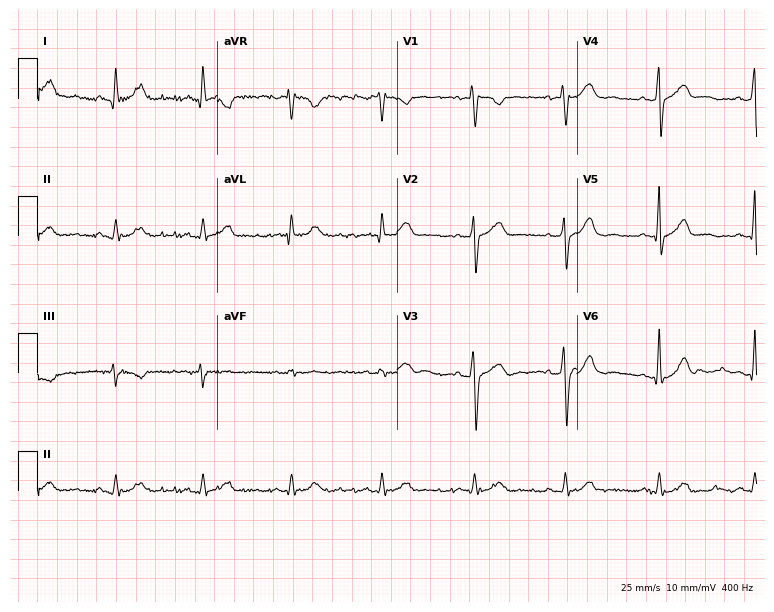
ECG — a man, 53 years old. Screened for six findings — first-degree AV block, right bundle branch block, left bundle branch block, sinus bradycardia, atrial fibrillation, sinus tachycardia — none is recorded.